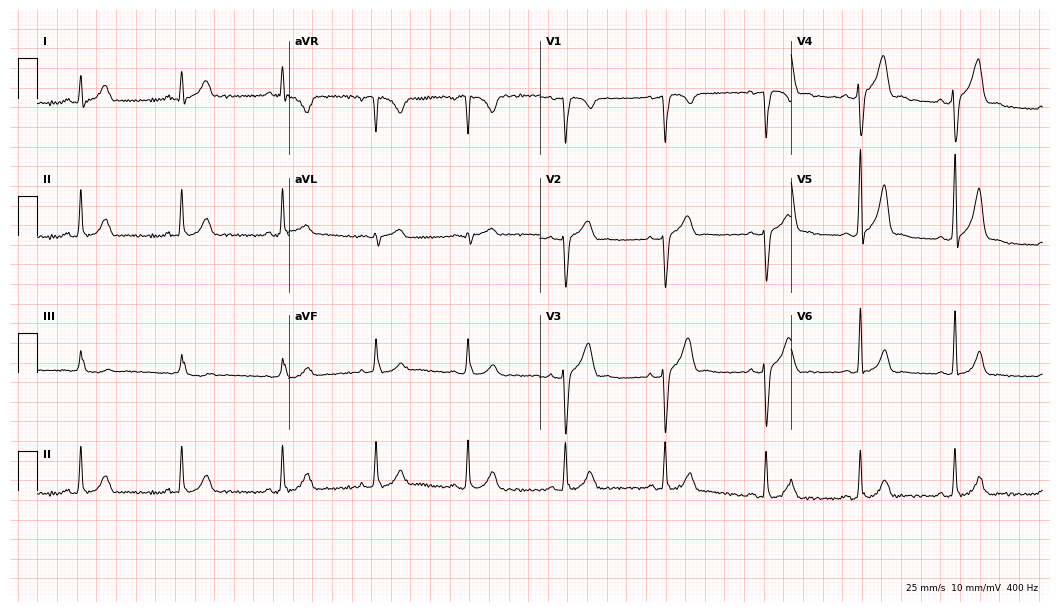
Resting 12-lead electrocardiogram. Patient: a male, 30 years old. Read as a normal ECG.